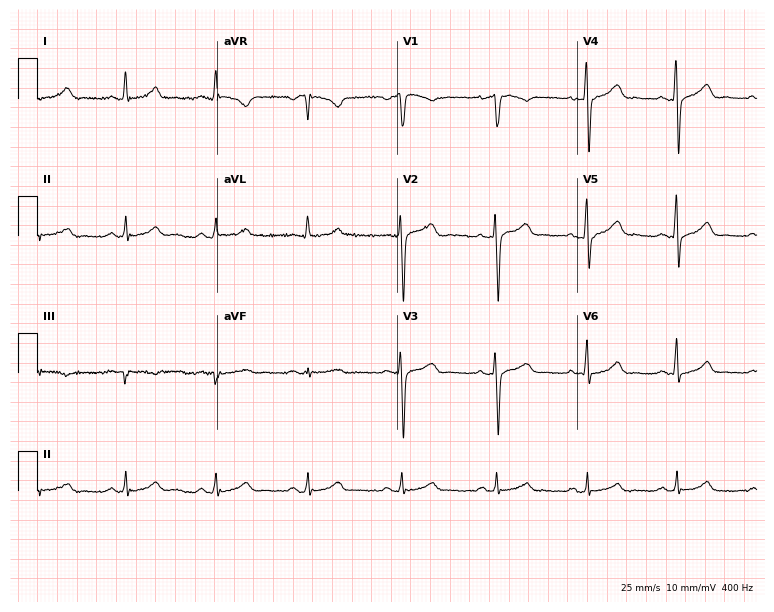
Electrocardiogram (7.3-second recording at 400 Hz), a 39-year-old male patient. Of the six screened findings (first-degree AV block, right bundle branch block, left bundle branch block, sinus bradycardia, atrial fibrillation, sinus tachycardia), none is recorded.